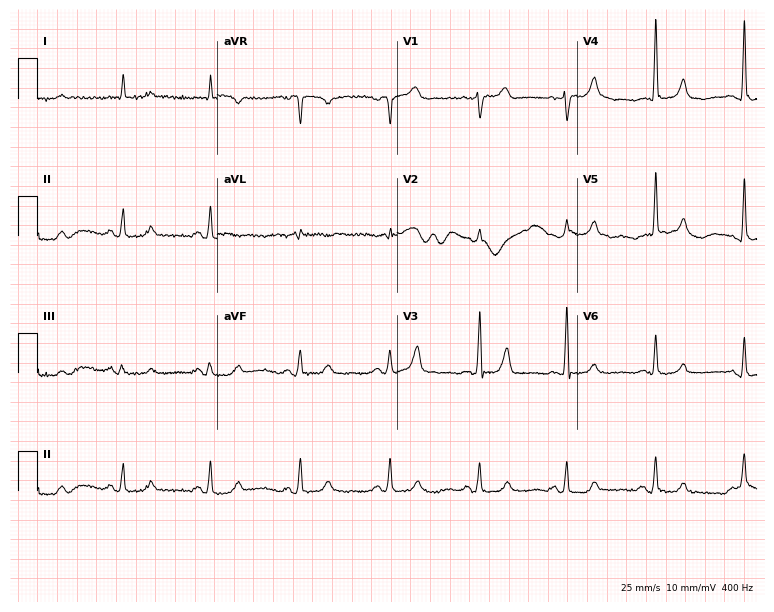
Electrocardiogram (7.3-second recording at 400 Hz), a 70-year-old man. Overall reading on record: normal ECG.